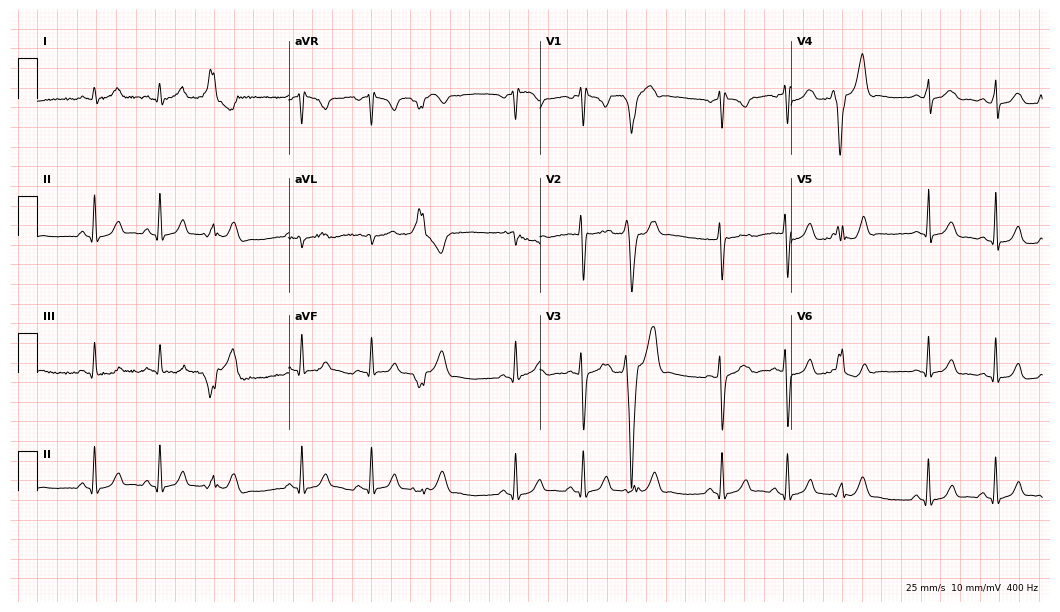
12-lead ECG from a woman, 19 years old (10.2-second recording at 400 Hz). No first-degree AV block, right bundle branch block, left bundle branch block, sinus bradycardia, atrial fibrillation or sinus tachycardia recorded for this tracing. Findings outside these six are not listed.